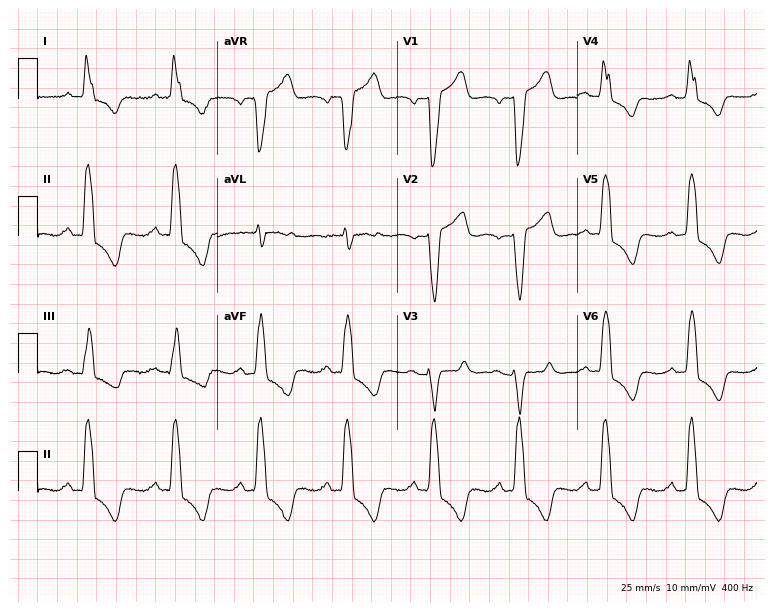
Standard 12-lead ECG recorded from a female patient, 85 years old. The tracing shows left bundle branch block (LBBB).